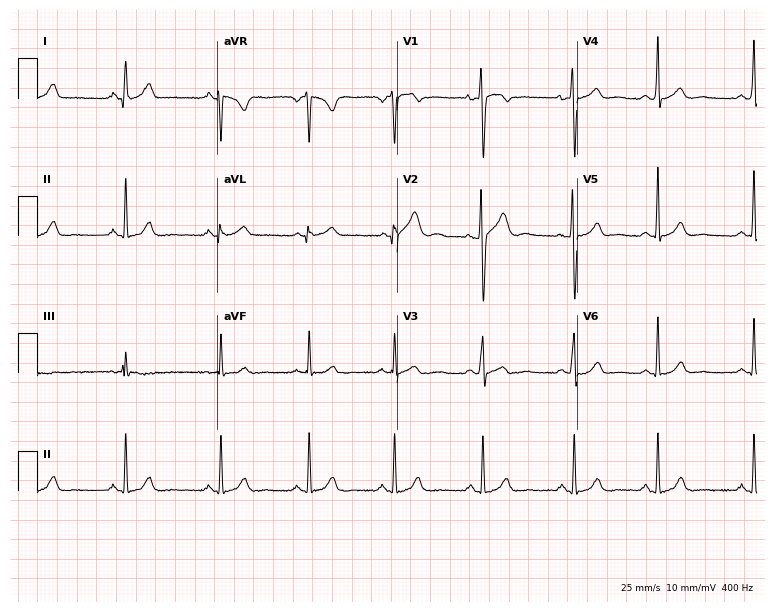
Standard 12-lead ECG recorded from a 28-year-old male patient (7.3-second recording at 400 Hz). Read as a normal ECG.